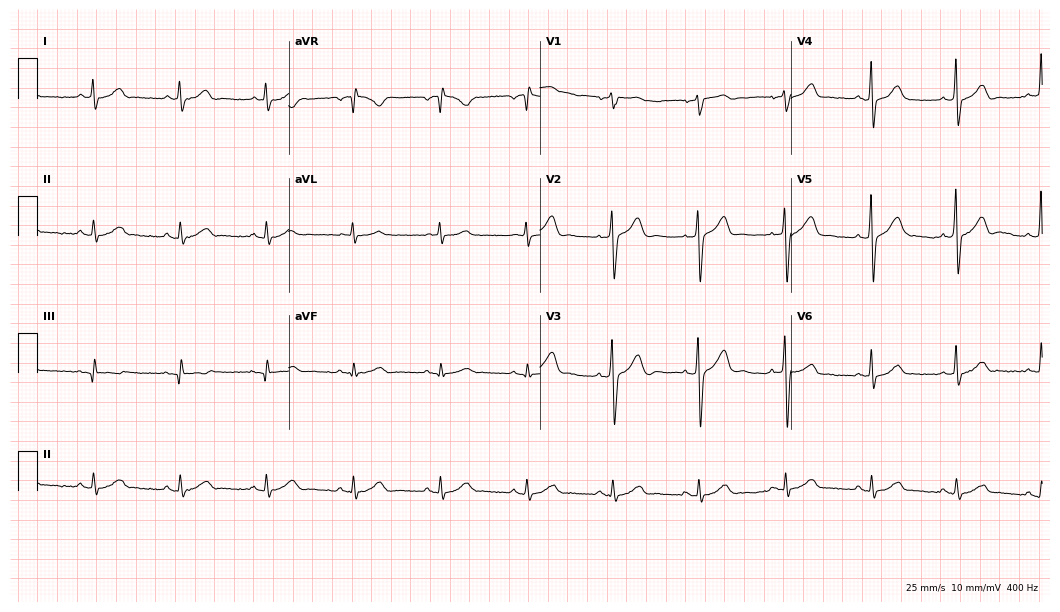
ECG (10.2-second recording at 400 Hz) — a 61-year-old male patient. Labelled as a normal ECG.